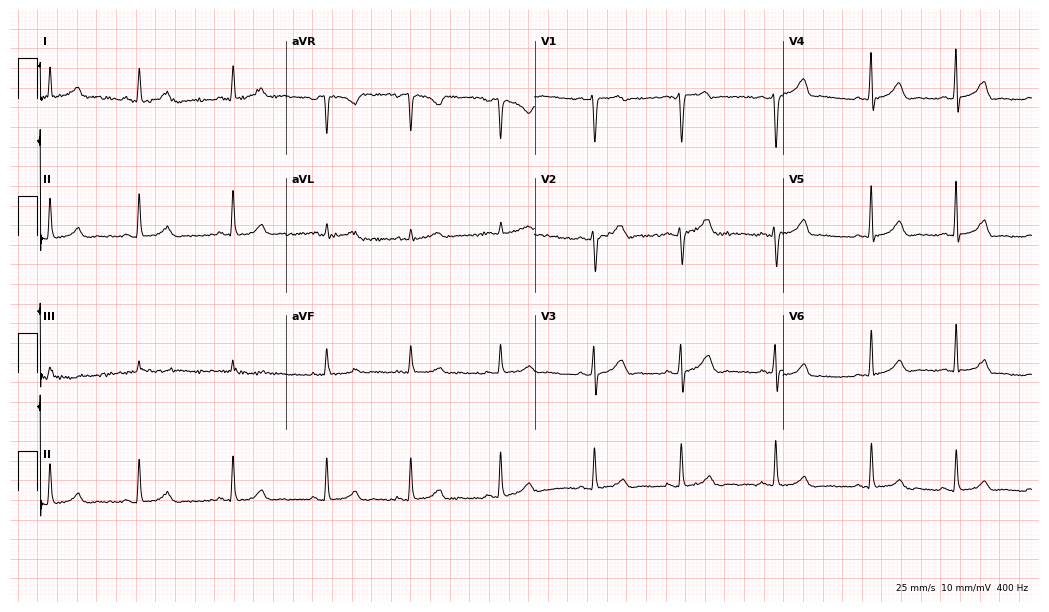
Electrocardiogram, a female patient, 43 years old. Of the six screened findings (first-degree AV block, right bundle branch block, left bundle branch block, sinus bradycardia, atrial fibrillation, sinus tachycardia), none is recorded. Other findings, if any, are not listed.